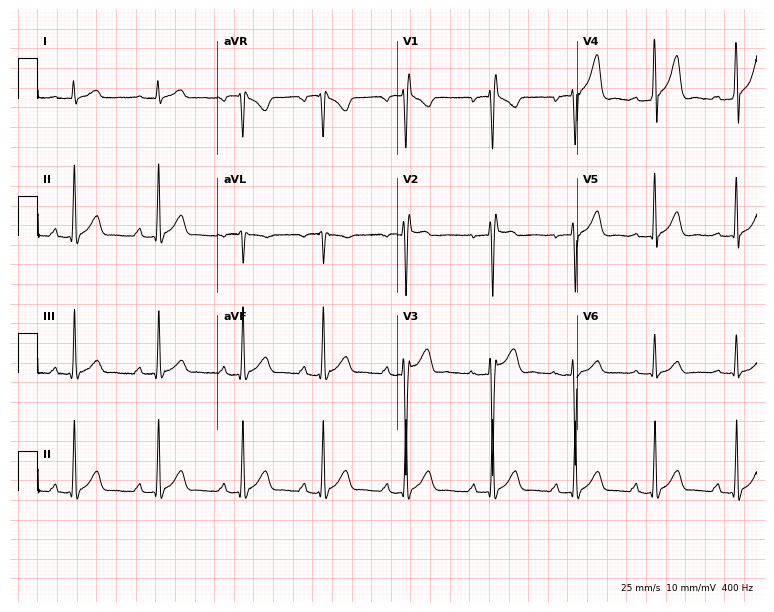
Electrocardiogram, a 30-year-old man. Of the six screened findings (first-degree AV block, right bundle branch block, left bundle branch block, sinus bradycardia, atrial fibrillation, sinus tachycardia), none is recorded.